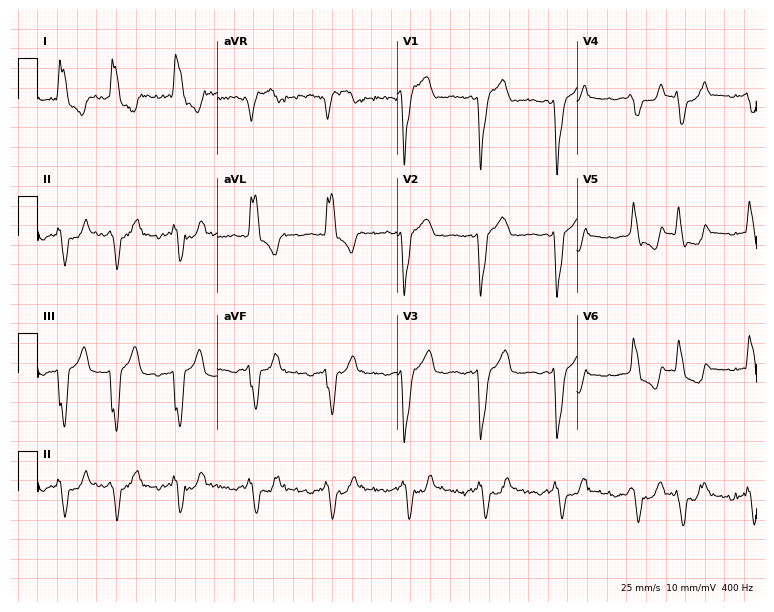
12-lead ECG from a woman, 72 years old (7.3-second recording at 400 Hz). Shows left bundle branch block.